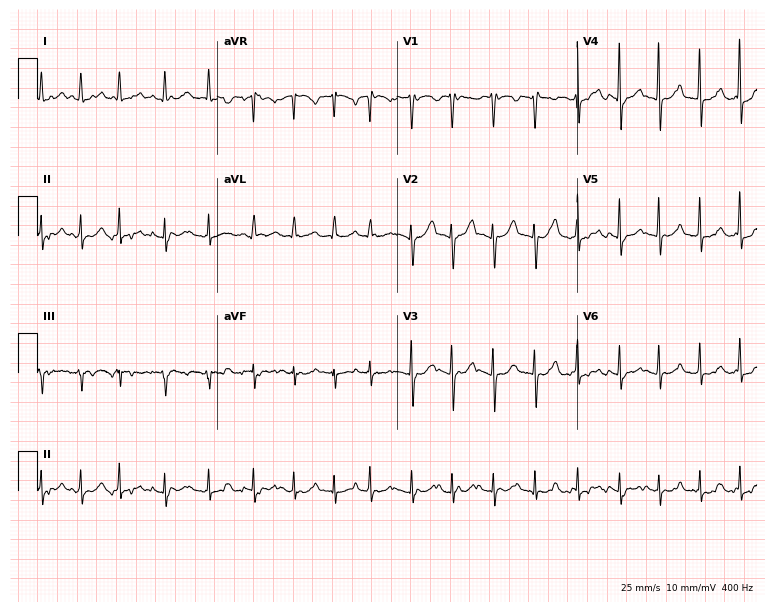
Electrocardiogram, a female patient, 68 years old. Interpretation includes atrial fibrillation.